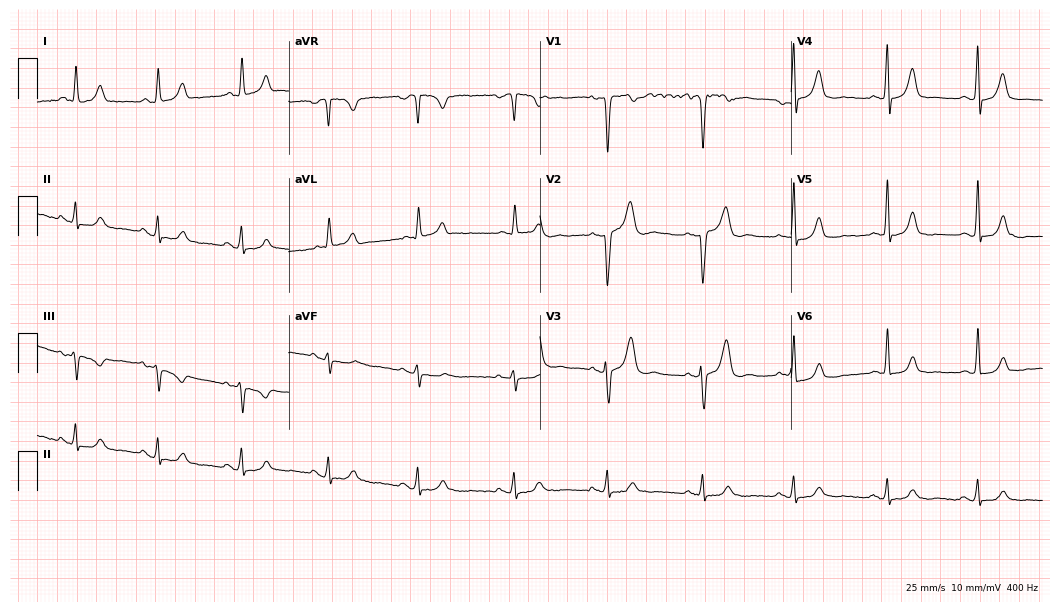
Resting 12-lead electrocardiogram (10.2-second recording at 400 Hz). Patient: a 33-year-old woman. Read as a normal ECG.